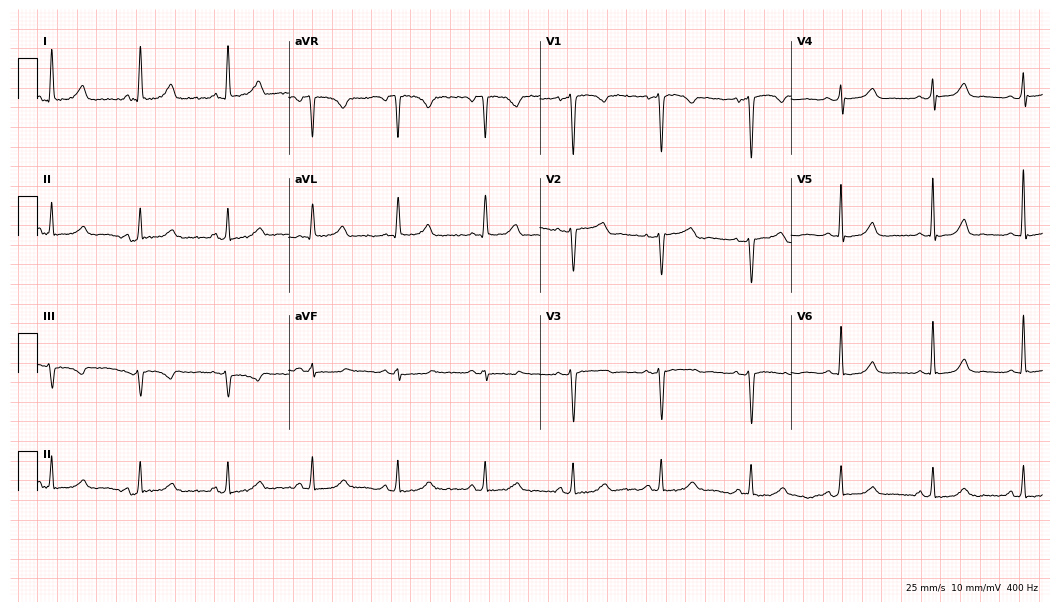
Resting 12-lead electrocardiogram (10.2-second recording at 400 Hz). Patient: a 56-year-old female. Read as a normal ECG.